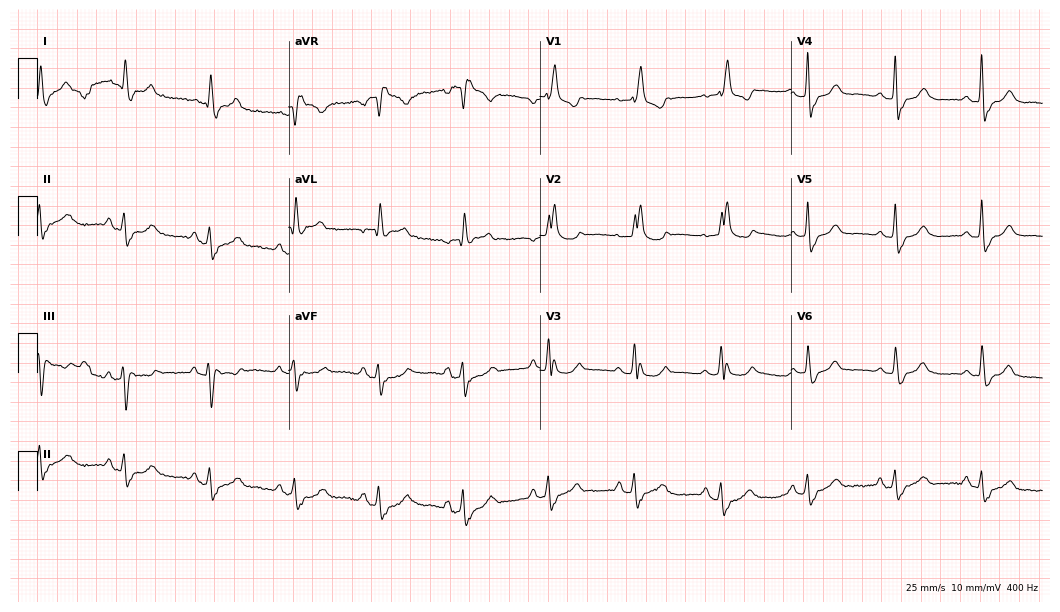
Standard 12-lead ECG recorded from an 80-year-old female patient. The tracing shows right bundle branch block.